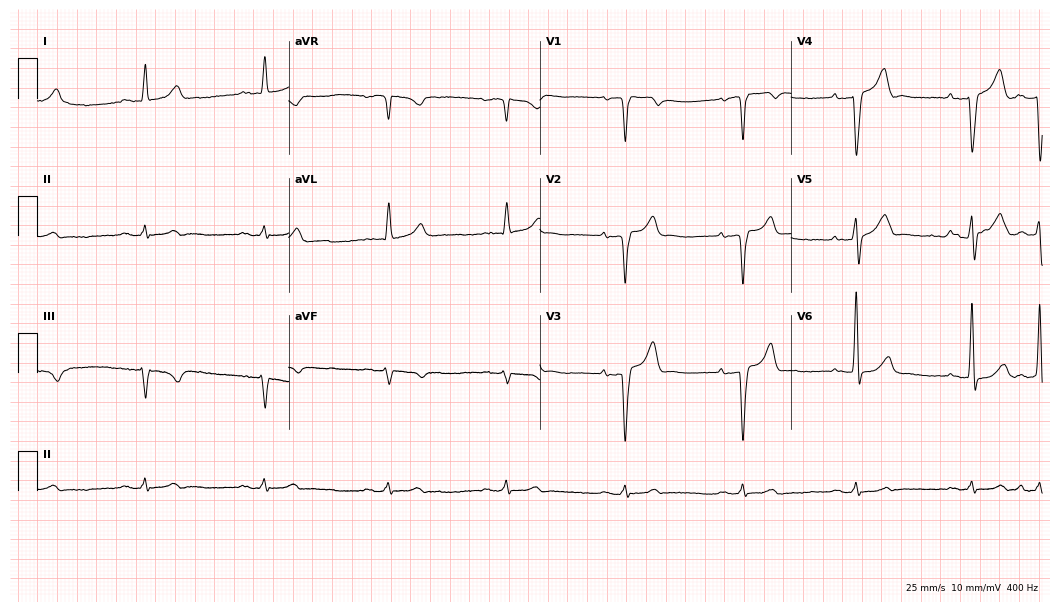
12-lead ECG from a male, 81 years old. Screened for six findings — first-degree AV block, right bundle branch block, left bundle branch block, sinus bradycardia, atrial fibrillation, sinus tachycardia — none is recorded. Only these six findings were labelled.